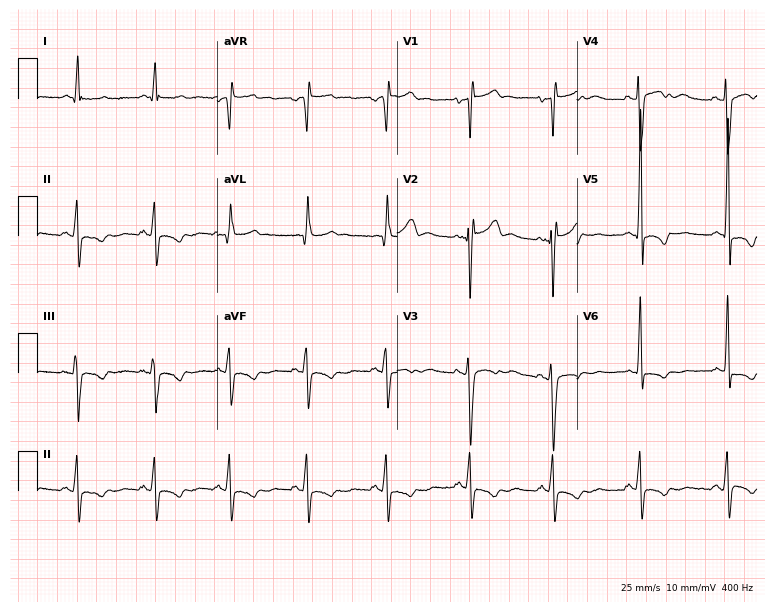
Electrocardiogram, a 32-year-old female. Of the six screened findings (first-degree AV block, right bundle branch block (RBBB), left bundle branch block (LBBB), sinus bradycardia, atrial fibrillation (AF), sinus tachycardia), none is recorded.